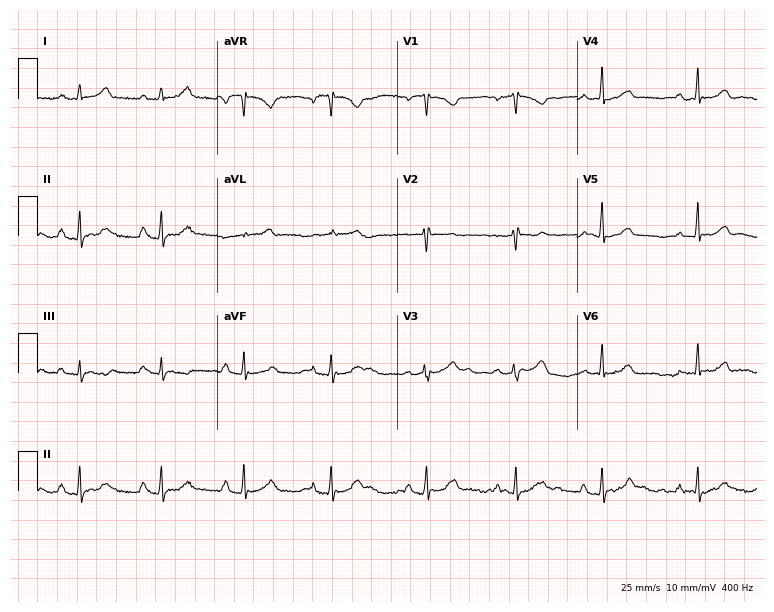
Resting 12-lead electrocardiogram. Patient: a woman, 32 years old. Read as a normal ECG.